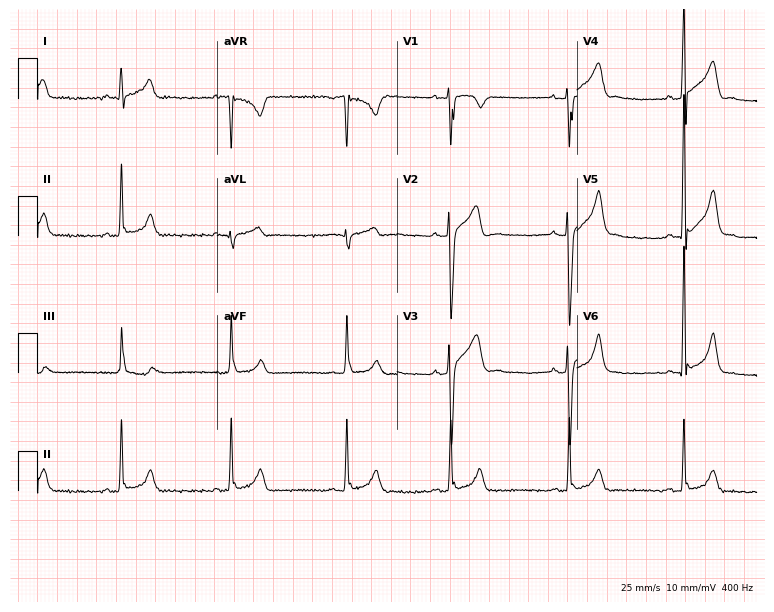
12-lead ECG from a man, 17 years old. Recorded interpretation: within normal limits.